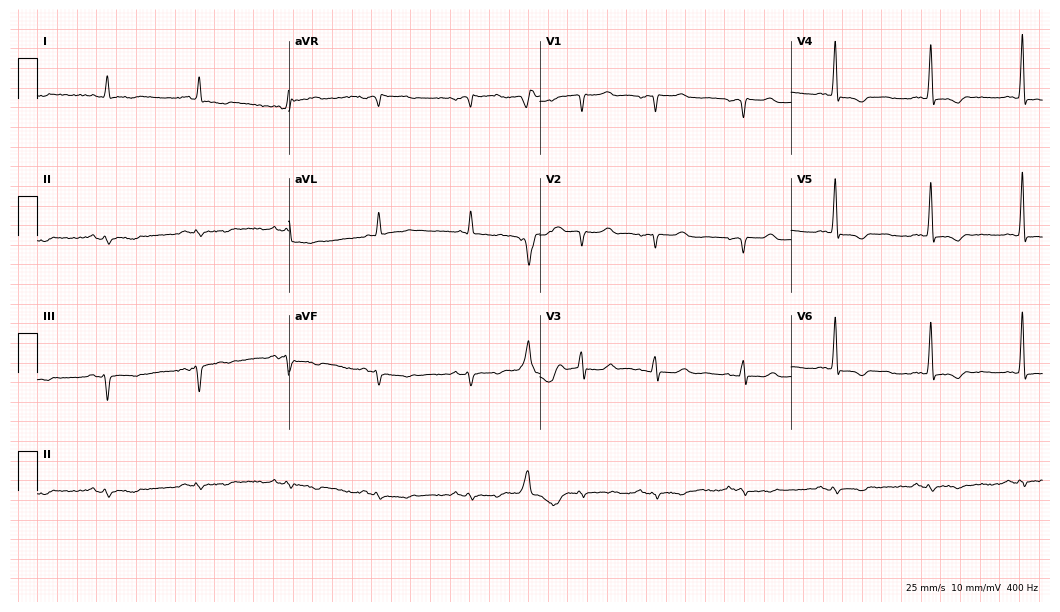
Standard 12-lead ECG recorded from a 72-year-old male (10.2-second recording at 400 Hz). None of these six findings is recorded: first-degree AV block, right bundle branch block, left bundle branch block, sinus bradycardia, atrial fibrillation, sinus tachycardia. Findings outside these six are not listed.